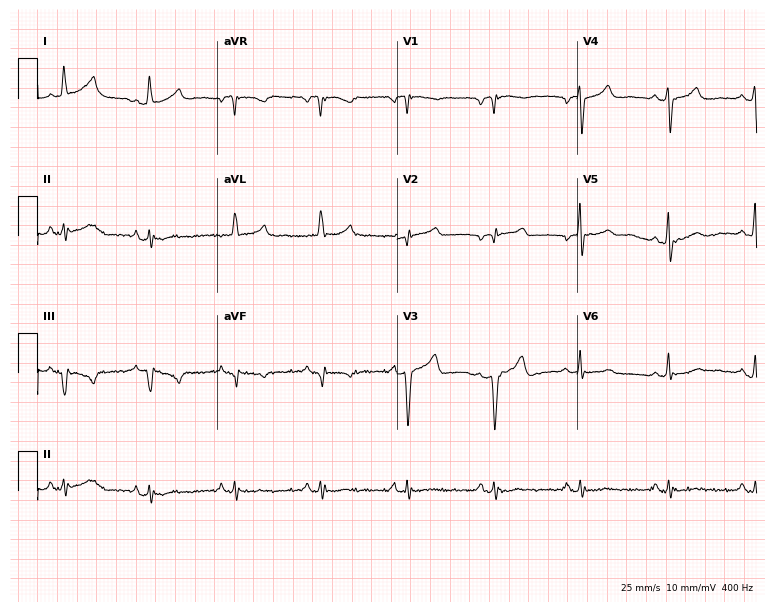
12-lead ECG from a 54-year-old female patient. No first-degree AV block, right bundle branch block, left bundle branch block, sinus bradycardia, atrial fibrillation or sinus tachycardia recorded for this tracing. Findings outside these six are not listed.